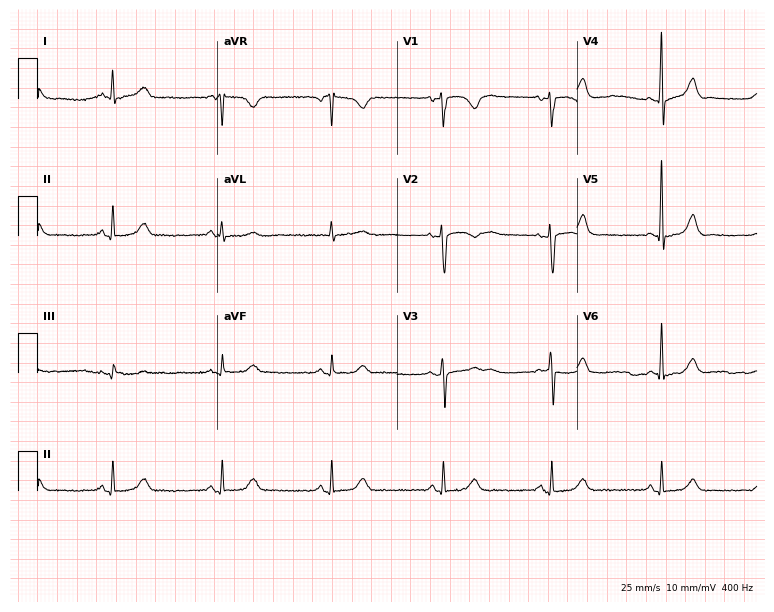
Resting 12-lead electrocardiogram (7.3-second recording at 400 Hz). Patient: a 55-year-old female. None of these six findings is recorded: first-degree AV block, right bundle branch block (RBBB), left bundle branch block (LBBB), sinus bradycardia, atrial fibrillation (AF), sinus tachycardia. Only these six findings were labelled.